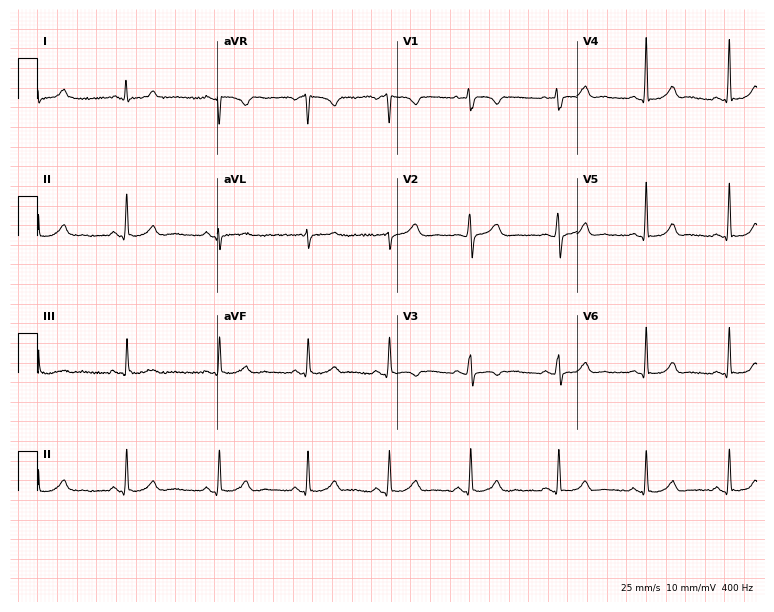
12-lead ECG (7.3-second recording at 400 Hz) from a 31-year-old woman. Labelled as a normal ECG.